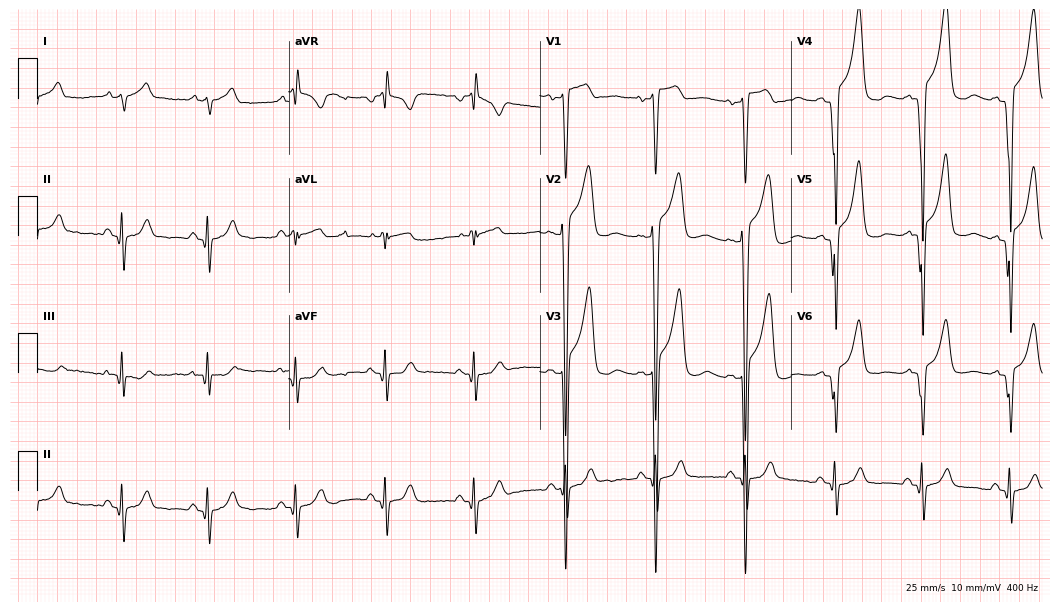
ECG — a man, 36 years old. Screened for six findings — first-degree AV block, right bundle branch block, left bundle branch block, sinus bradycardia, atrial fibrillation, sinus tachycardia — none is recorded. Only these six findings were labelled.